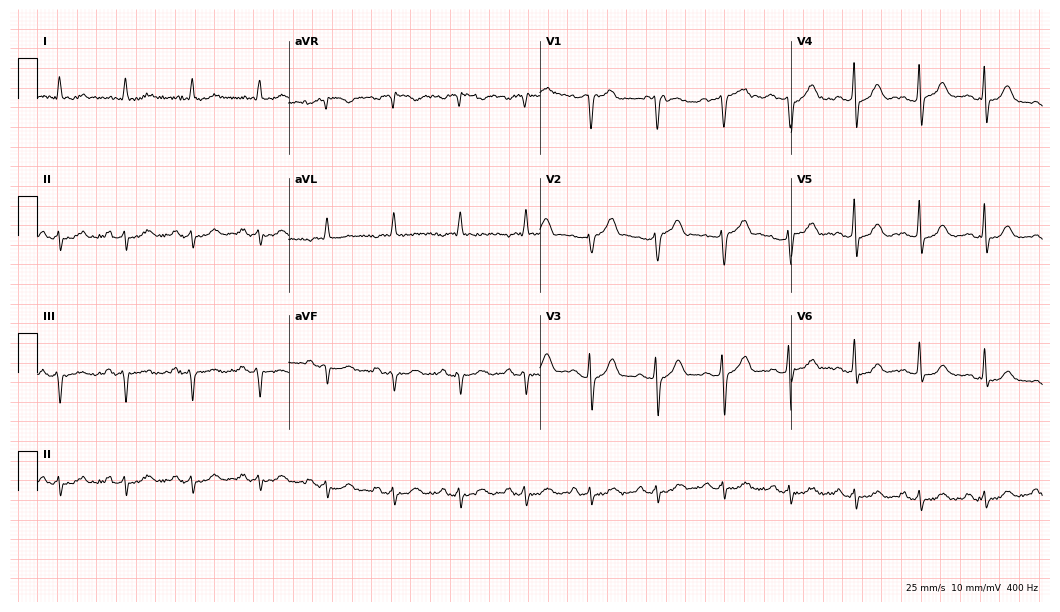
12-lead ECG from a man, 72 years old. Screened for six findings — first-degree AV block, right bundle branch block, left bundle branch block, sinus bradycardia, atrial fibrillation, sinus tachycardia — none is recorded.